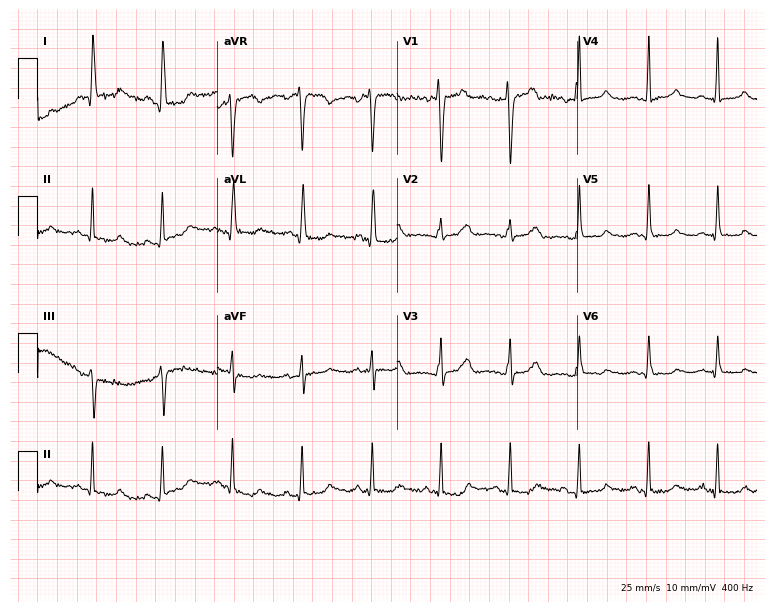
Standard 12-lead ECG recorded from a woman, 45 years old. None of these six findings is recorded: first-degree AV block, right bundle branch block (RBBB), left bundle branch block (LBBB), sinus bradycardia, atrial fibrillation (AF), sinus tachycardia. Only these six findings were labelled.